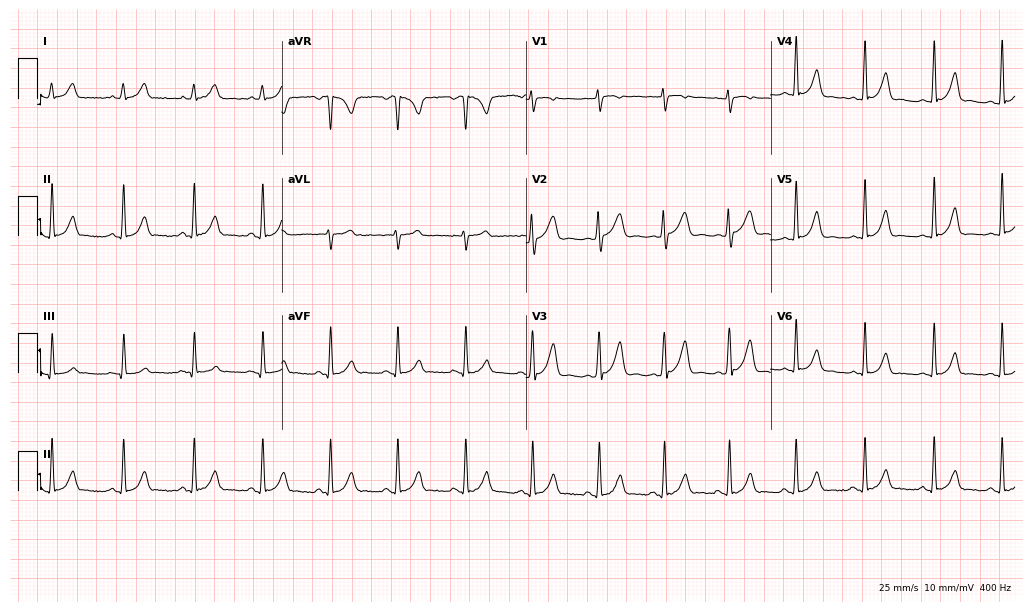
Standard 12-lead ECG recorded from a female, 26 years old (10-second recording at 400 Hz). Read as a normal ECG.